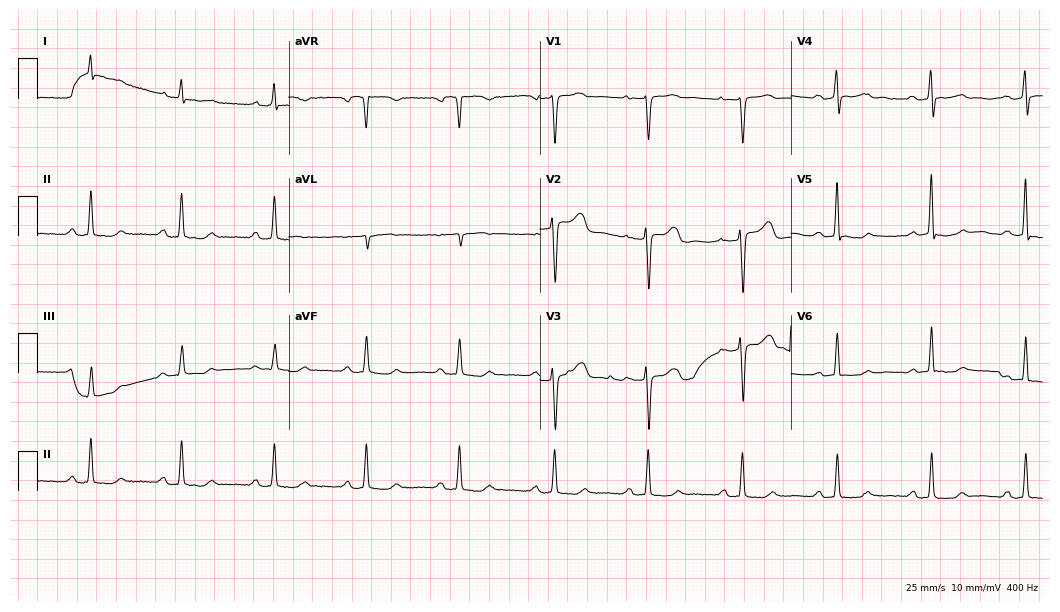
Standard 12-lead ECG recorded from a female patient, 49 years old (10.2-second recording at 400 Hz). None of these six findings is recorded: first-degree AV block, right bundle branch block, left bundle branch block, sinus bradycardia, atrial fibrillation, sinus tachycardia. Other findings, if any, are not listed.